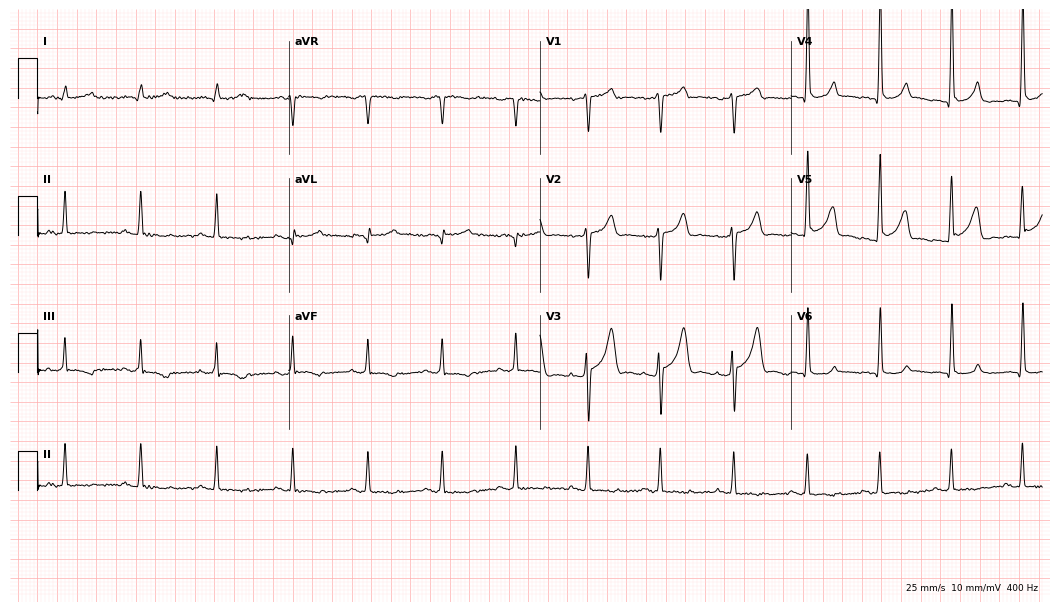
12-lead ECG from a woman, 44 years old (10.2-second recording at 400 Hz). No first-degree AV block, right bundle branch block, left bundle branch block, sinus bradycardia, atrial fibrillation or sinus tachycardia recorded for this tracing.